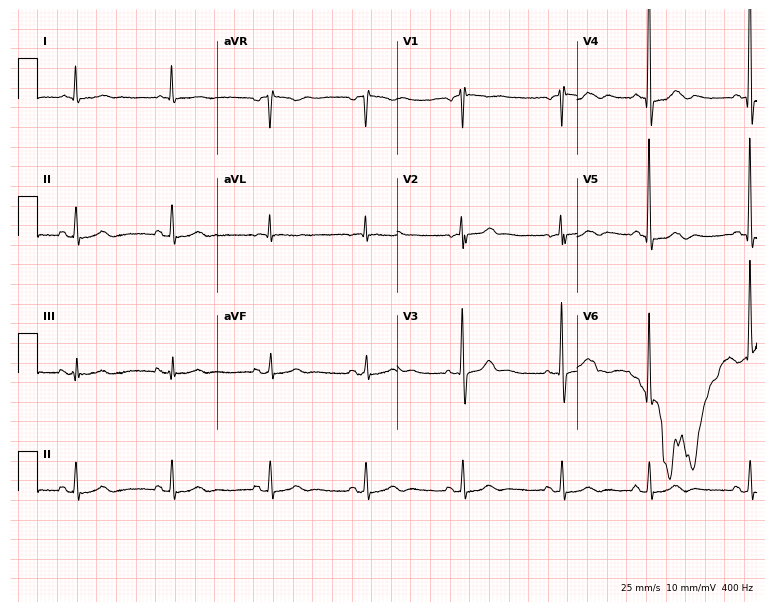
ECG — an 84-year-old man. Screened for six findings — first-degree AV block, right bundle branch block, left bundle branch block, sinus bradycardia, atrial fibrillation, sinus tachycardia — none is recorded. Findings outside these six are not listed.